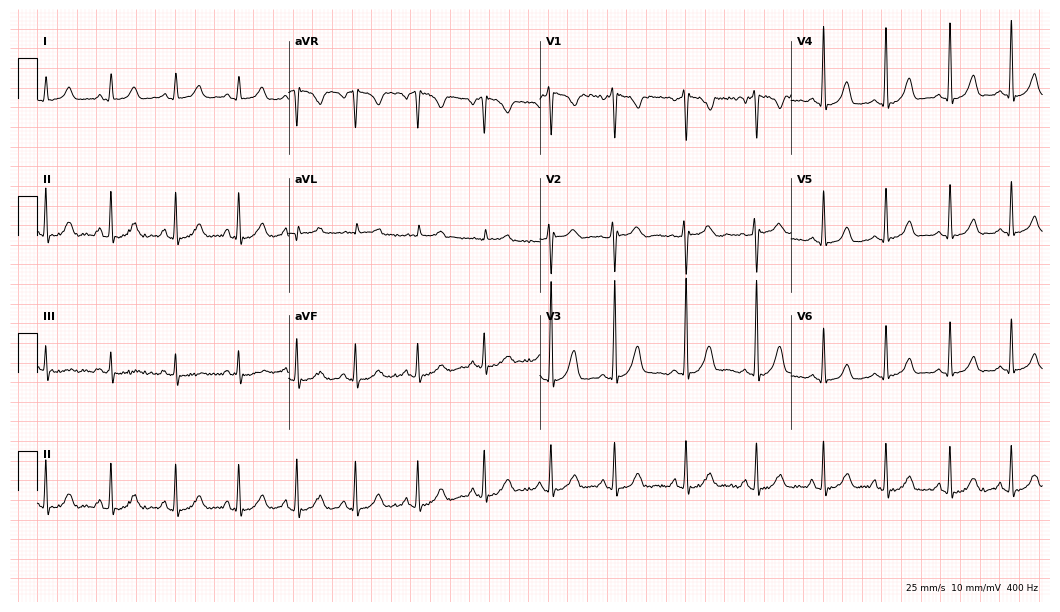
Electrocardiogram, a female patient, 22 years old. Overall reading on record: normal ECG.